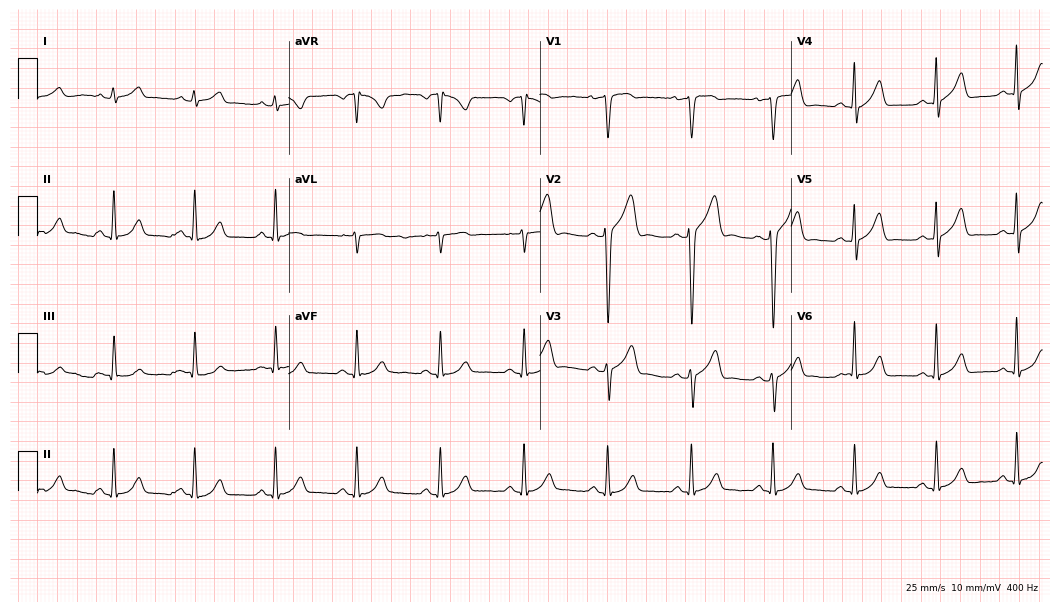
Standard 12-lead ECG recorded from a man, 49 years old. Read as a normal ECG.